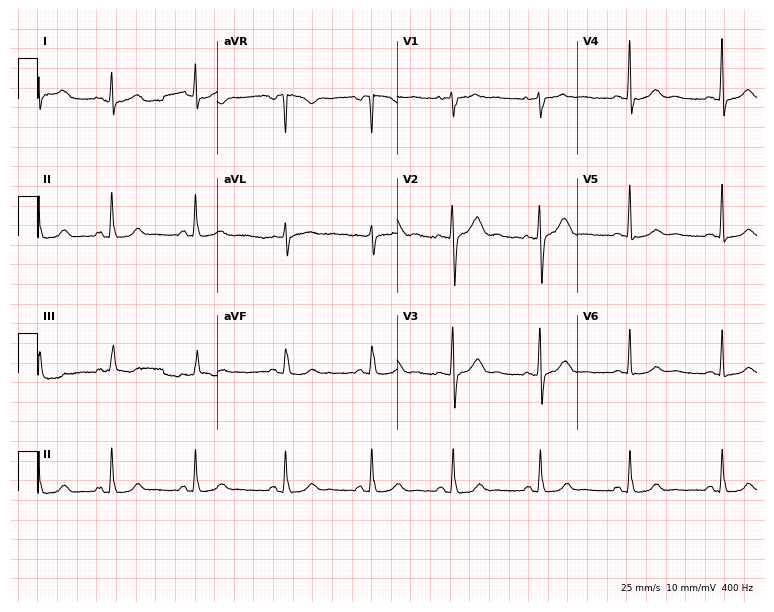
12-lead ECG from a 36-year-old female (7.3-second recording at 400 Hz). Recorded interpretation: within normal limits.